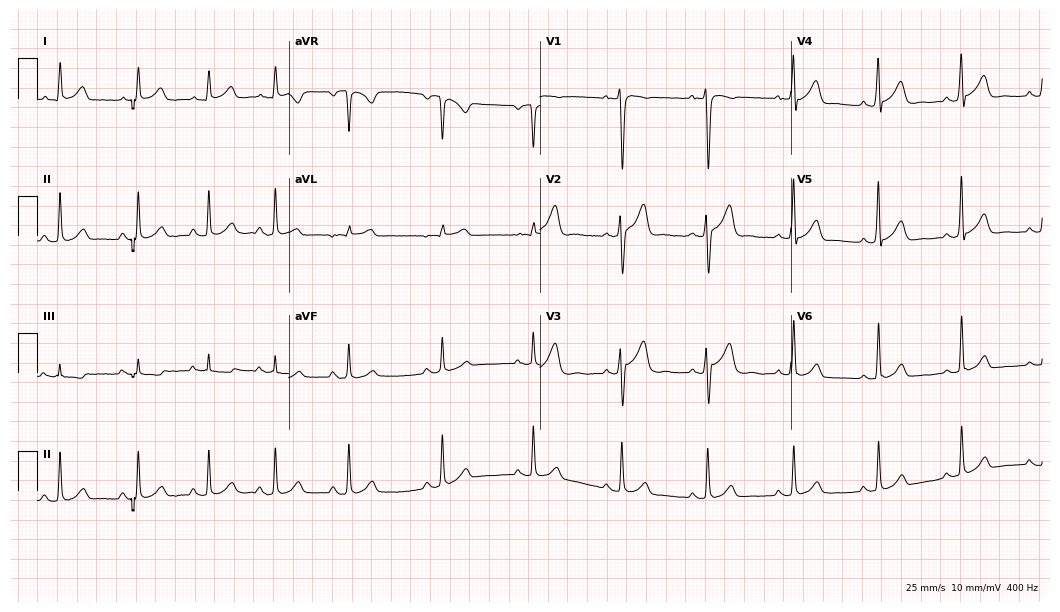
12-lead ECG (10.2-second recording at 400 Hz) from a man, 35 years old. Labelled as a normal ECG.